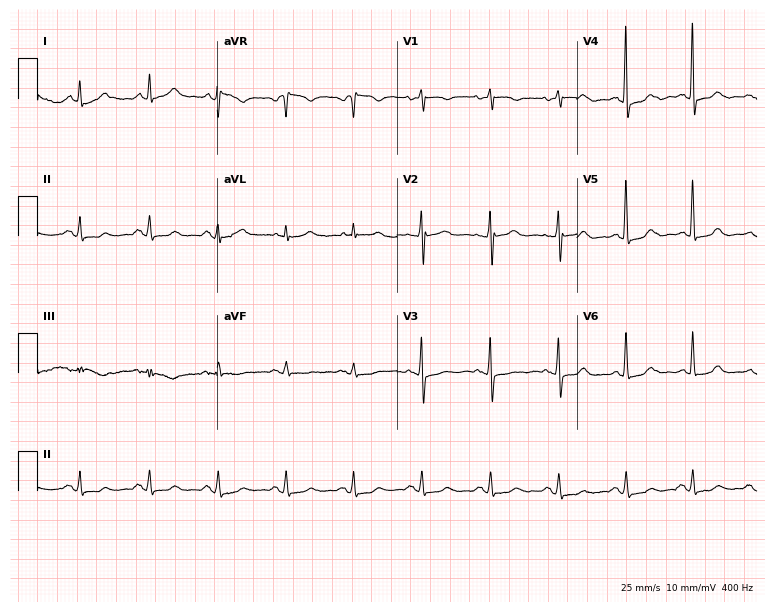
12-lead ECG (7.3-second recording at 400 Hz) from a 78-year-old woman. Screened for six findings — first-degree AV block, right bundle branch block, left bundle branch block, sinus bradycardia, atrial fibrillation, sinus tachycardia — none is recorded.